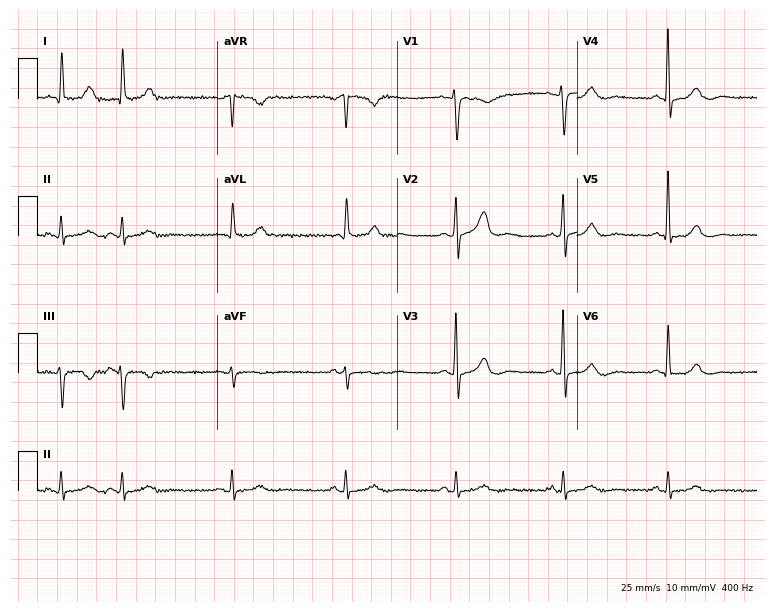
Electrocardiogram, a male, 73 years old. Of the six screened findings (first-degree AV block, right bundle branch block (RBBB), left bundle branch block (LBBB), sinus bradycardia, atrial fibrillation (AF), sinus tachycardia), none is recorded.